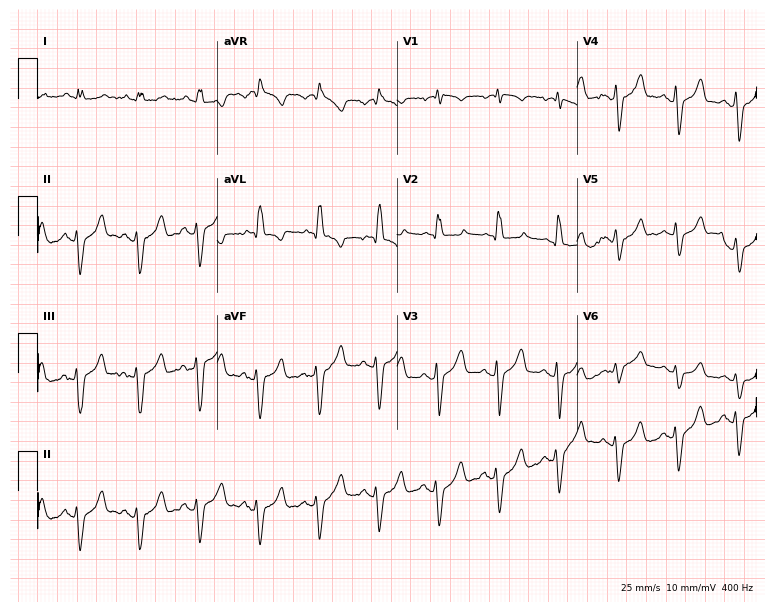
12-lead ECG from a male patient, 82 years old (7.3-second recording at 400 Hz). No first-degree AV block, right bundle branch block, left bundle branch block, sinus bradycardia, atrial fibrillation or sinus tachycardia recorded for this tracing.